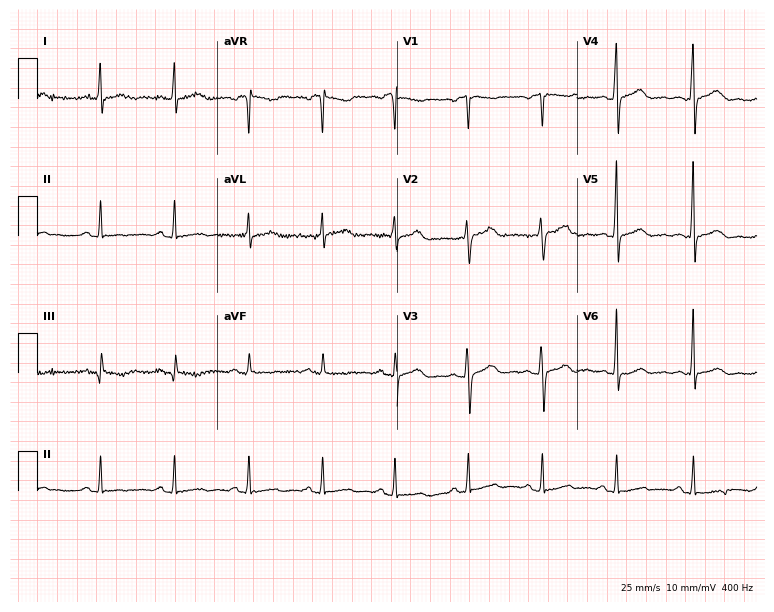
12-lead ECG from a female patient, 45 years old. No first-degree AV block, right bundle branch block, left bundle branch block, sinus bradycardia, atrial fibrillation or sinus tachycardia recorded for this tracing. Other findings, if any, are not listed.